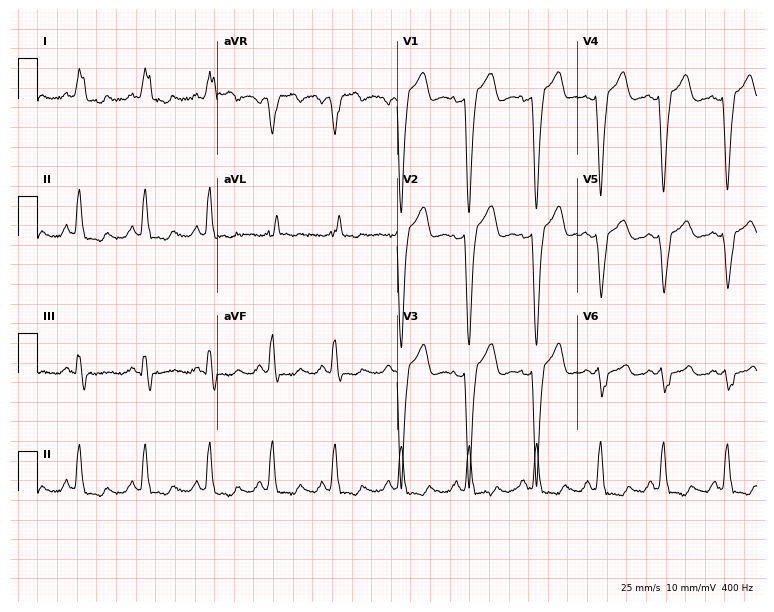
ECG (7.3-second recording at 400 Hz) — a female, 68 years old. Findings include left bundle branch block.